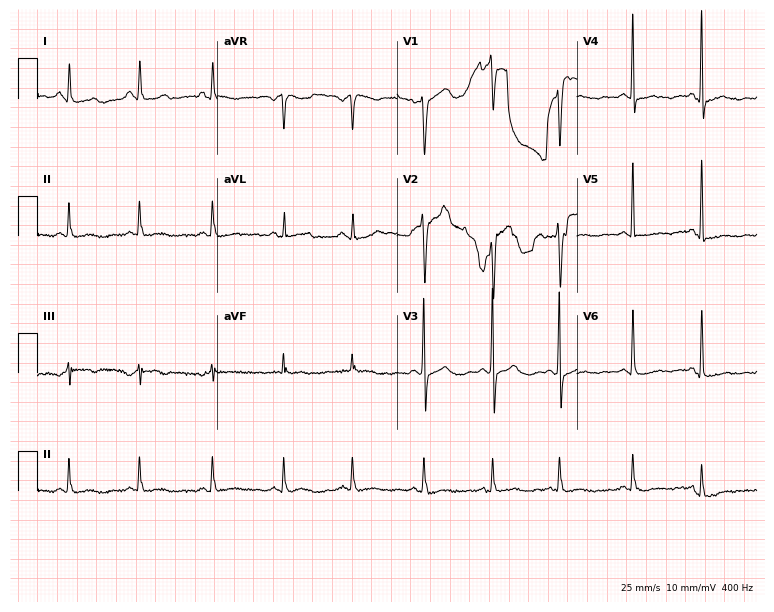
12-lead ECG from a 65-year-old female patient. Screened for six findings — first-degree AV block, right bundle branch block (RBBB), left bundle branch block (LBBB), sinus bradycardia, atrial fibrillation (AF), sinus tachycardia — none is recorded. Other findings, if any, are not listed.